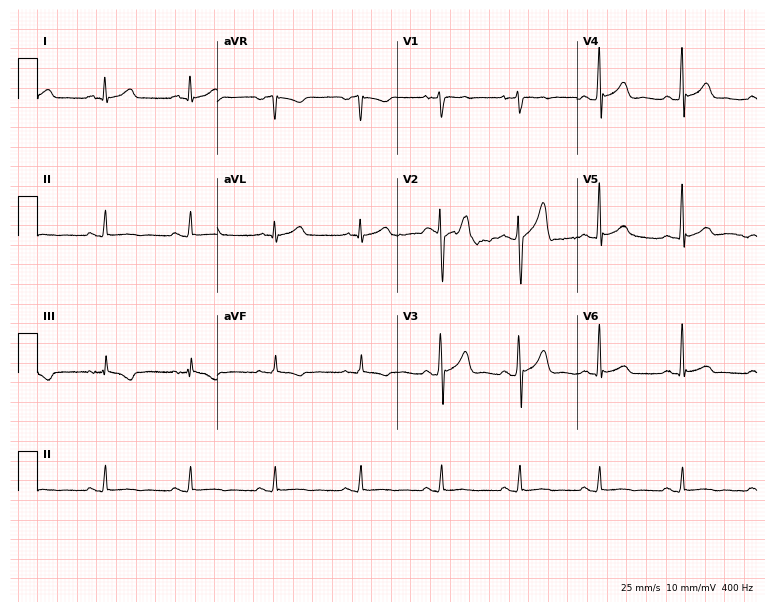
12-lead ECG from a male patient, 28 years old. Labelled as a normal ECG.